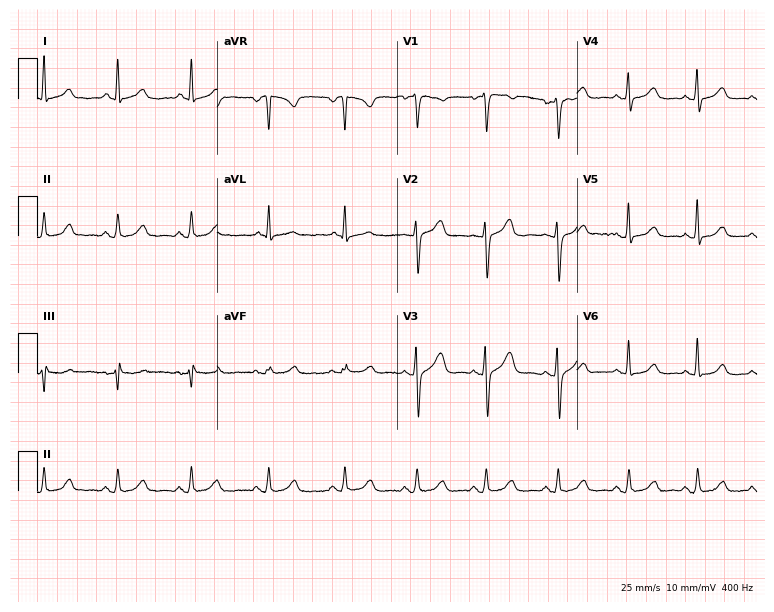
12-lead ECG from a woman, 41 years old. Labelled as a normal ECG.